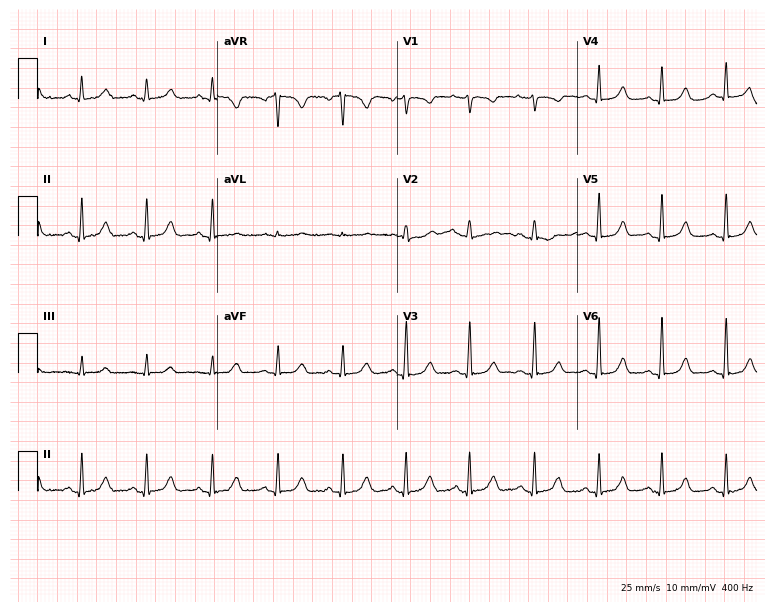
12-lead ECG from a female patient, 42 years old. Screened for six findings — first-degree AV block, right bundle branch block, left bundle branch block, sinus bradycardia, atrial fibrillation, sinus tachycardia — none is recorded.